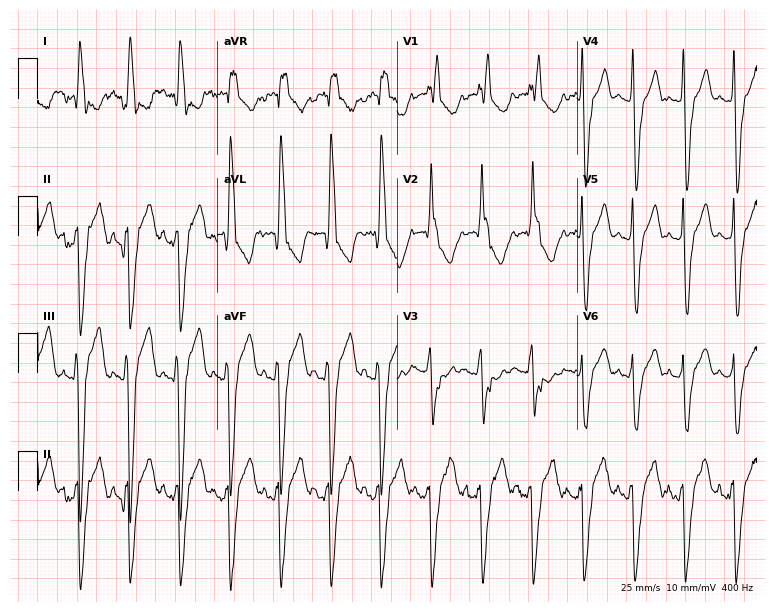
Resting 12-lead electrocardiogram. Patient: a 60-year-old female. The tracing shows right bundle branch block, left bundle branch block, sinus tachycardia (a sinus rate of 100 beats per minute or more).